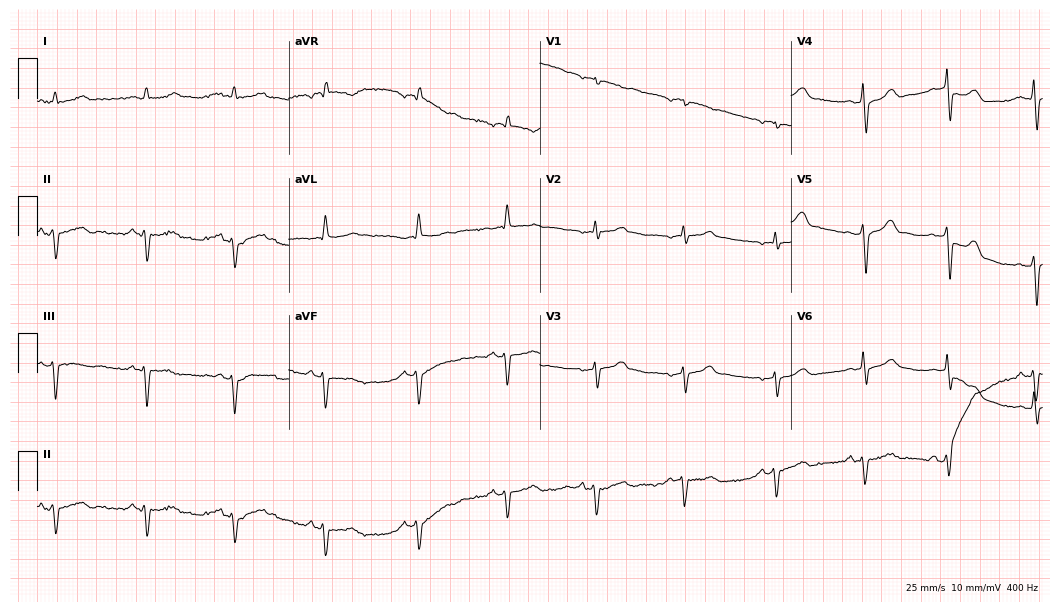
Electrocardiogram, a man, 28 years old. Of the six screened findings (first-degree AV block, right bundle branch block (RBBB), left bundle branch block (LBBB), sinus bradycardia, atrial fibrillation (AF), sinus tachycardia), none is recorded.